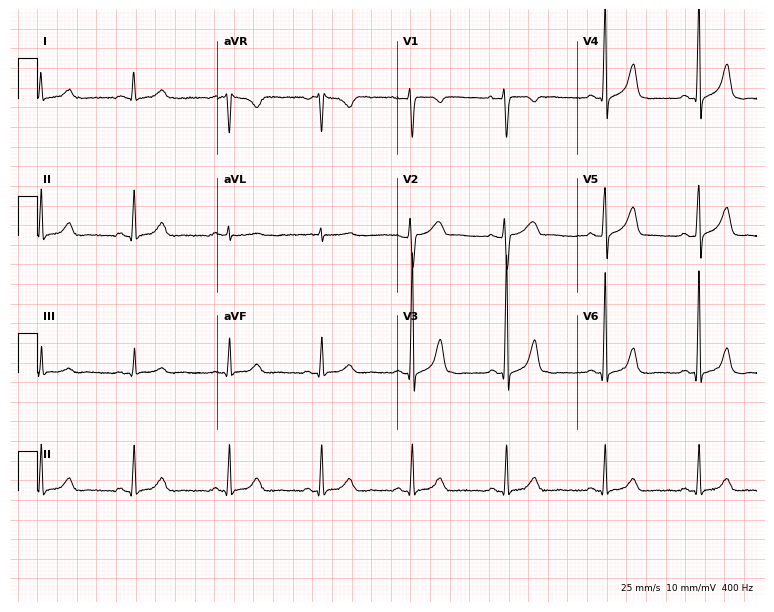
Standard 12-lead ECG recorded from a female, 37 years old (7.3-second recording at 400 Hz). None of these six findings is recorded: first-degree AV block, right bundle branch block, left bundle branch block, sinus bradycardia, atrial fibrillation, sinus tachycardia. Other findings, if any, are not listed.